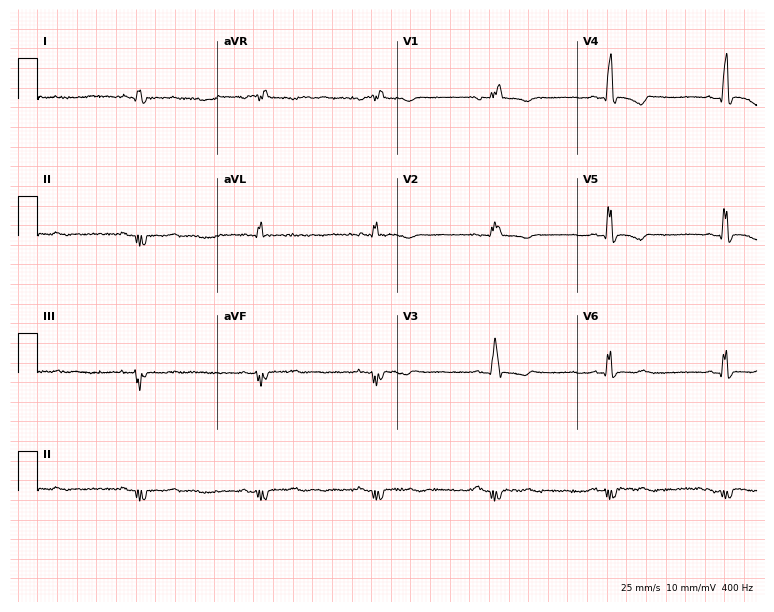
Resting 12-lead electrocardiogram. Patient: a 39-year-old male. The tracing shows right bundle branch block.